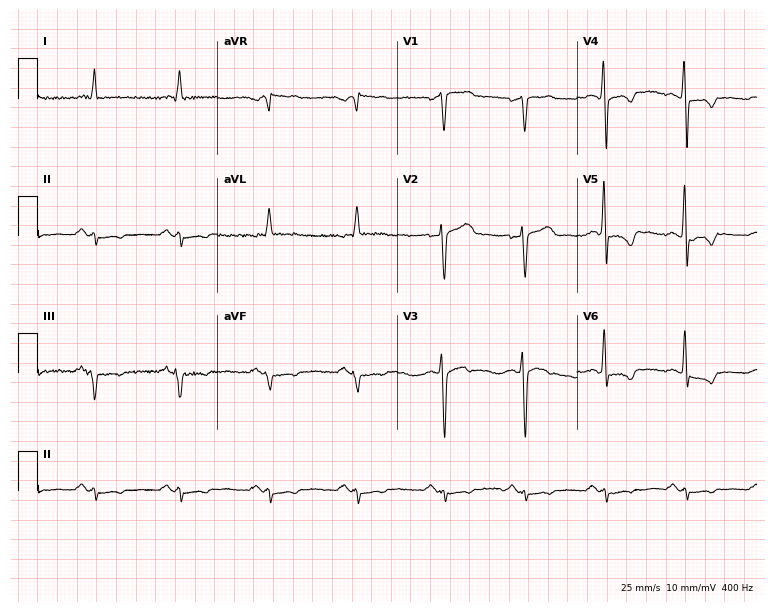
Electrocardiogram, a 54-year-old man. Of the six screened findings (first-degree AV block, right bundle branch block (RBBB), left bundle branch block (LBBB), sinus bradycardia, atrial fibrillation (AF), sinus tachycardia), none is recorded. Findings outside these six are not listed.